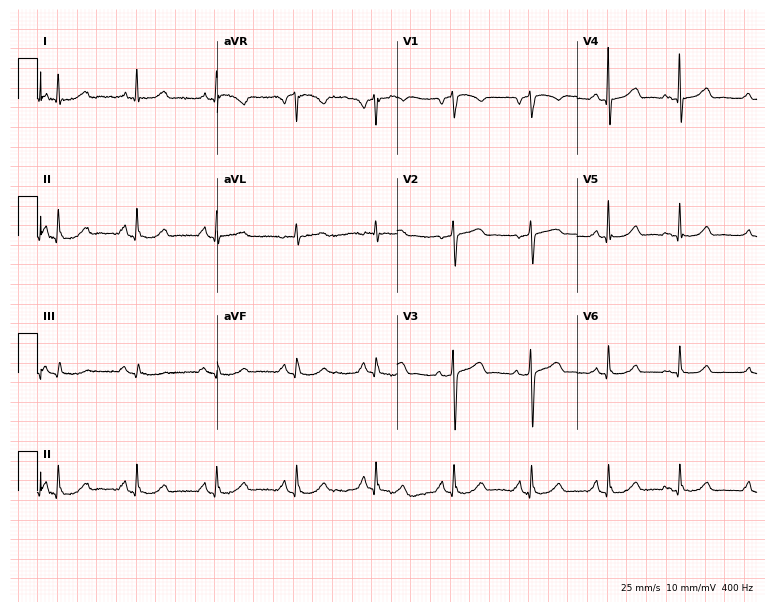
Standard 12-lead ECG recorded from a female, 75 years old (7.3-second recording at 400 Hz). Read as a normal ECG.